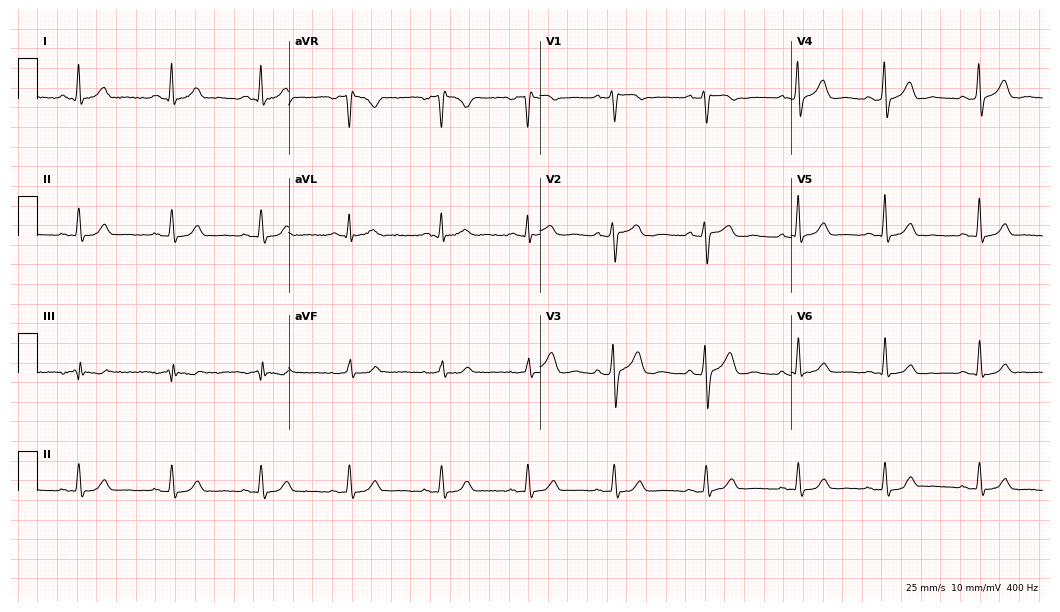
Resting 12-lead electrocardiogram (10.2-second recording at 400 Hz). Patient: a 37-year-old man. None of these six findings is recorded: first-degree AV block, right bundle branch block, left bundle branch block, sinus bradycardia, atrial fibrillation, sinus tachycardia.